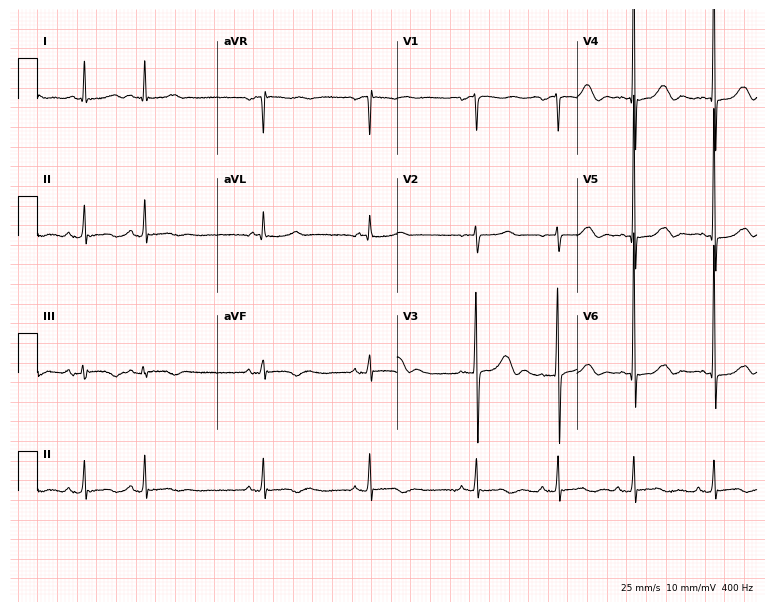
Standard 12-lead ECG recorded from a 79-year-old female. None of these six findings is recorded: first-degree AV block, right bundle branch block, left bundle branch block, sinus bradycardia, atrial fibrillation, sinus tachycardia.